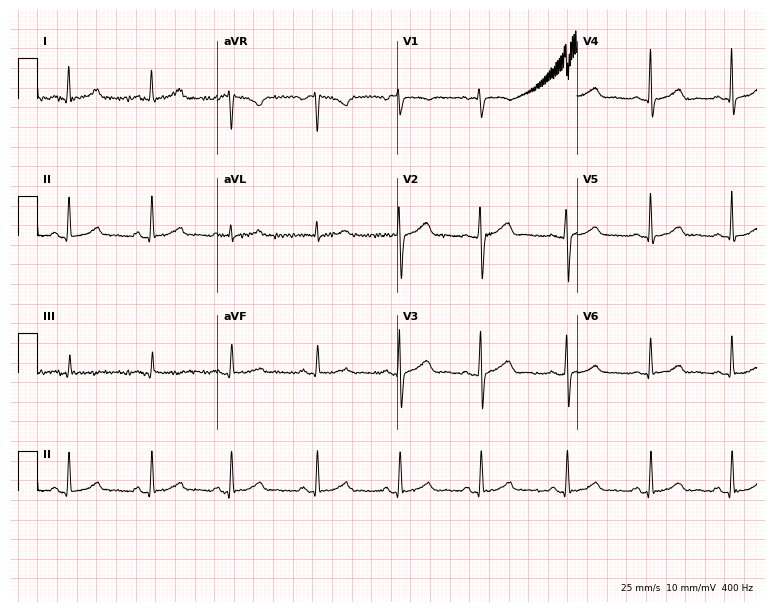
12-lead ECG from a woman, 40 years old. Labelled as a normal ECG.